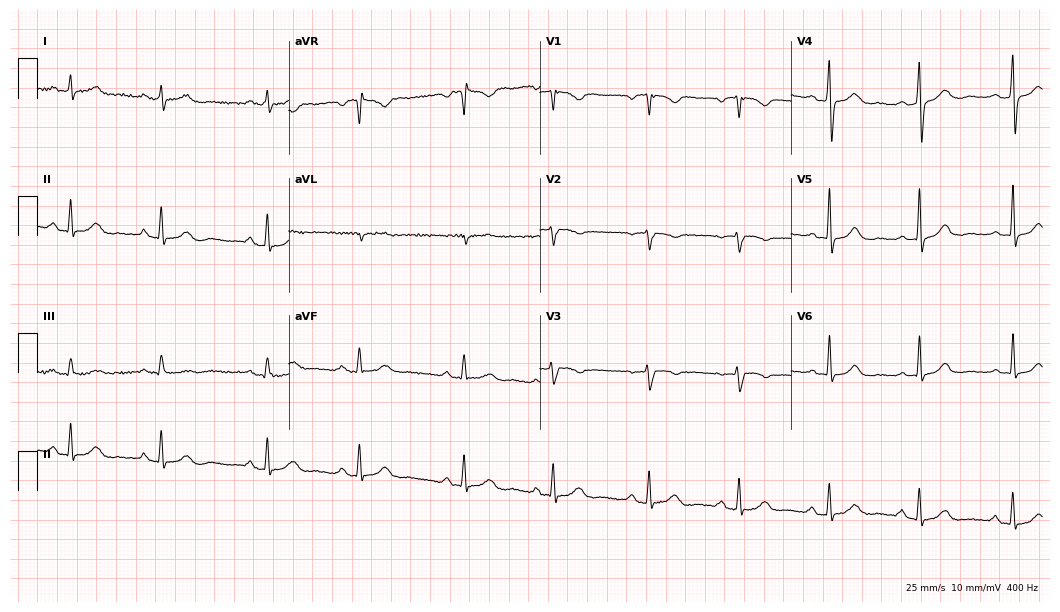
Standard 12-lead ECG recorded from a female, 52 years old (10.2-second recording at 400 Hz). None of these six findings is recorded: first-degree AV block, right bundle branch block, left bundle branch block, sinus bradycardia, atrial fibrillation, sinus tachycardia.